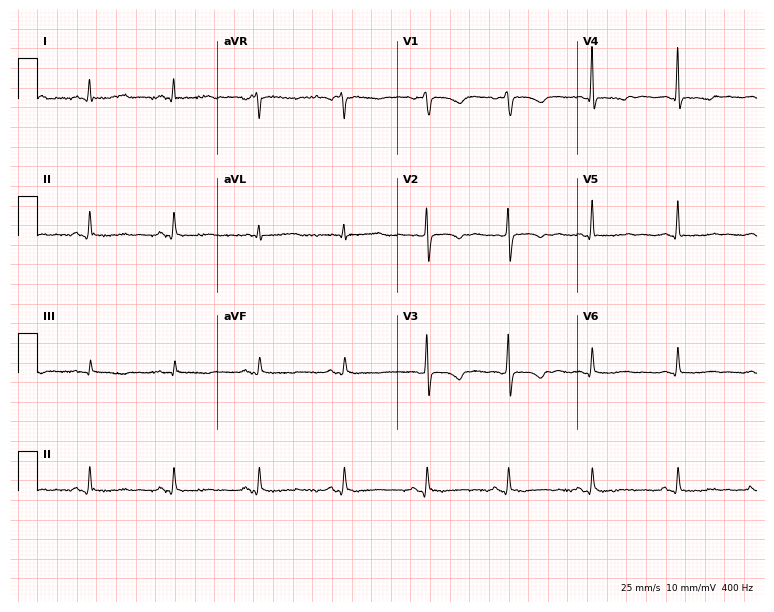
Electrocardiogram (7.3-second recording at 400 Hz), a female patient, 53 years old. Overall reading on record: normal ECG.